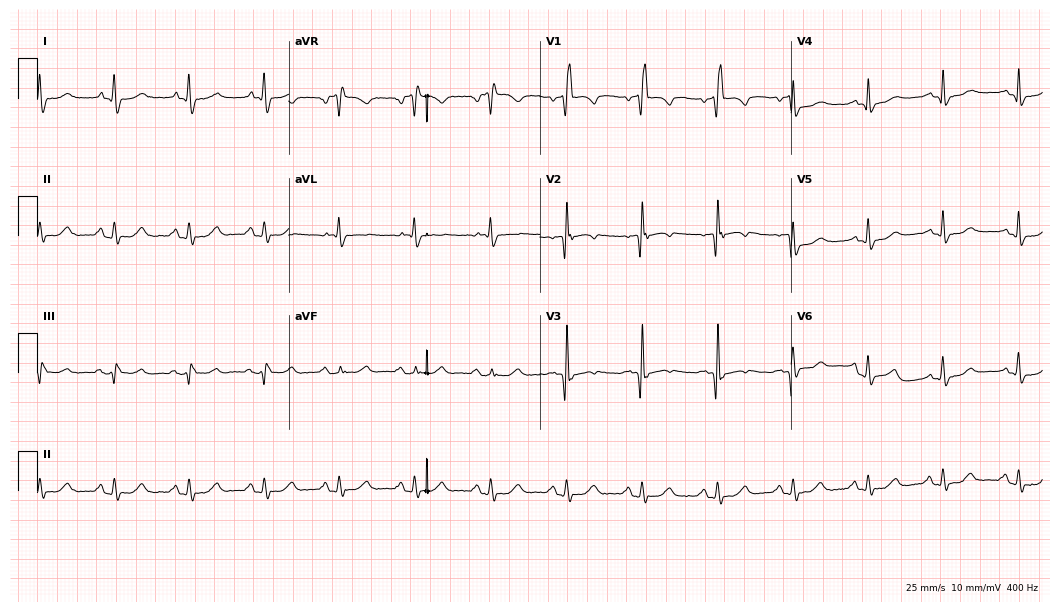
Standard 12-lead ECG recorded from a 66-year-old man (10.2-second recording at 400 Hz). The tracing shows right bundle branch block.